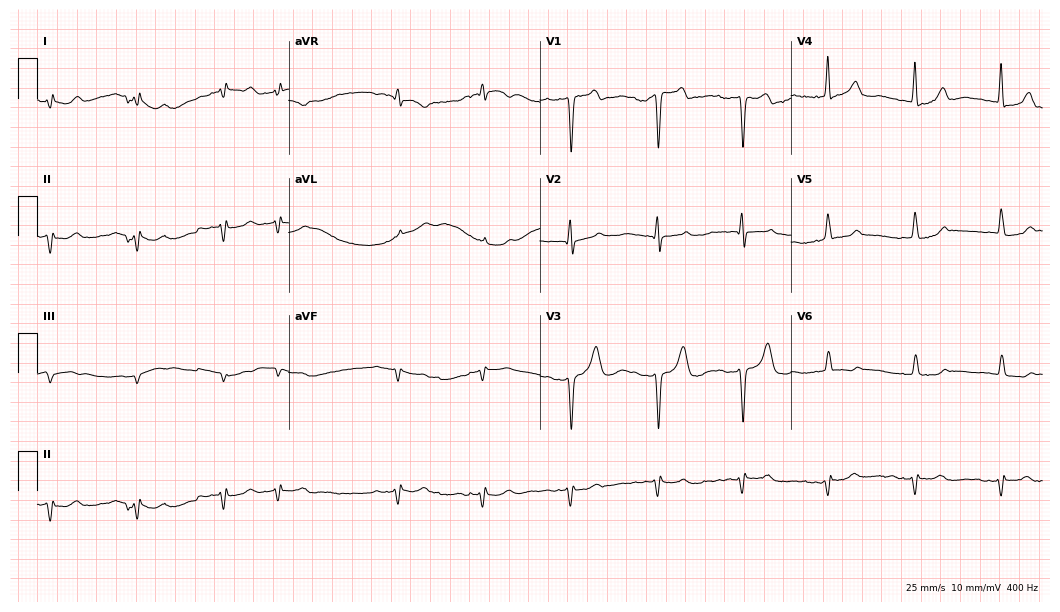
12-lead ECG from a man, 83 years old (10.2-second recording at 400 Hz). No first-degree AV block, right bundle branch block (RBBB), left bundle branch block (LBBB), sinus bradycardia, atrial fibrillation (AF) or sinus tachycardia recorded for this tracing. Only these six findings were labelled.